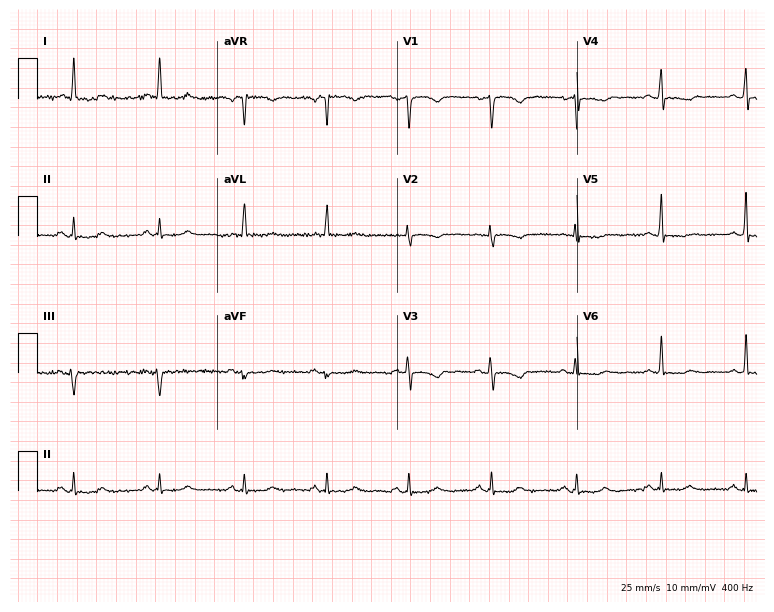
12-lead ECG from a 52-year-old female. No first-degree AV block, right bundle branch block (RBBB), left bundle branch block (LBBB), sinus bradycardia, atrial fibrillation (AF) or sinus tachycardia recorded for this tracing.